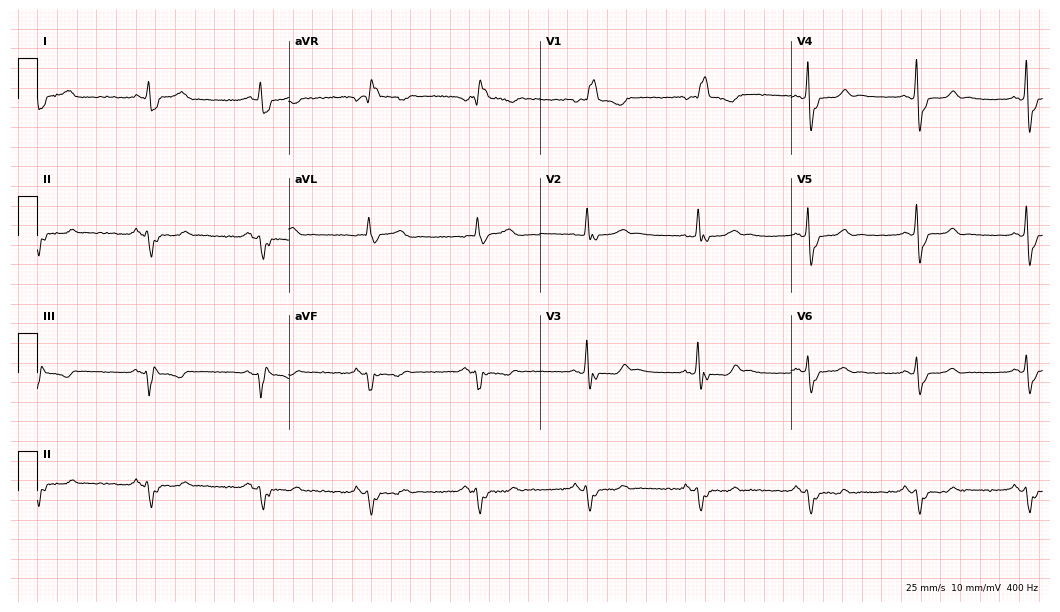
Resting 12-lead electrocardiogram. Patient: a 66-year-old male. The tracing shows right bundle branch block (RBBB).